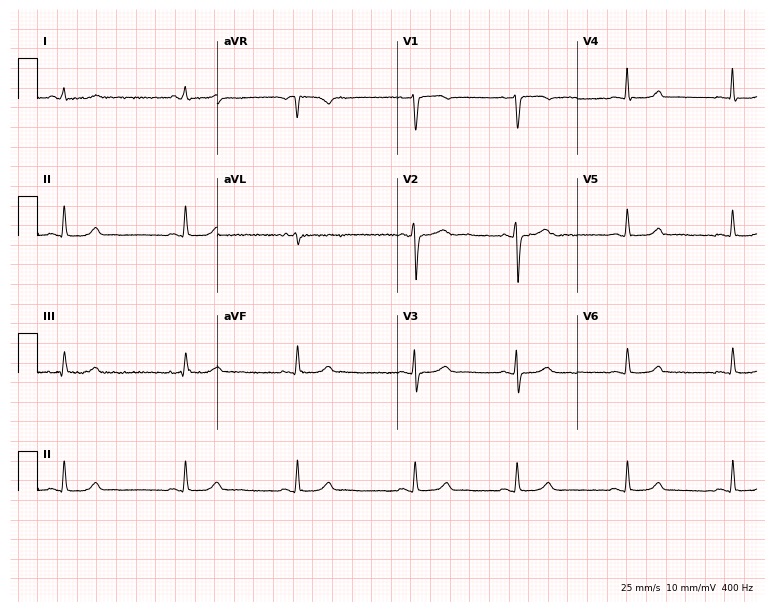
12-lead ECG from a woman, 34 years old. Recorded interpretation: within normal limits.